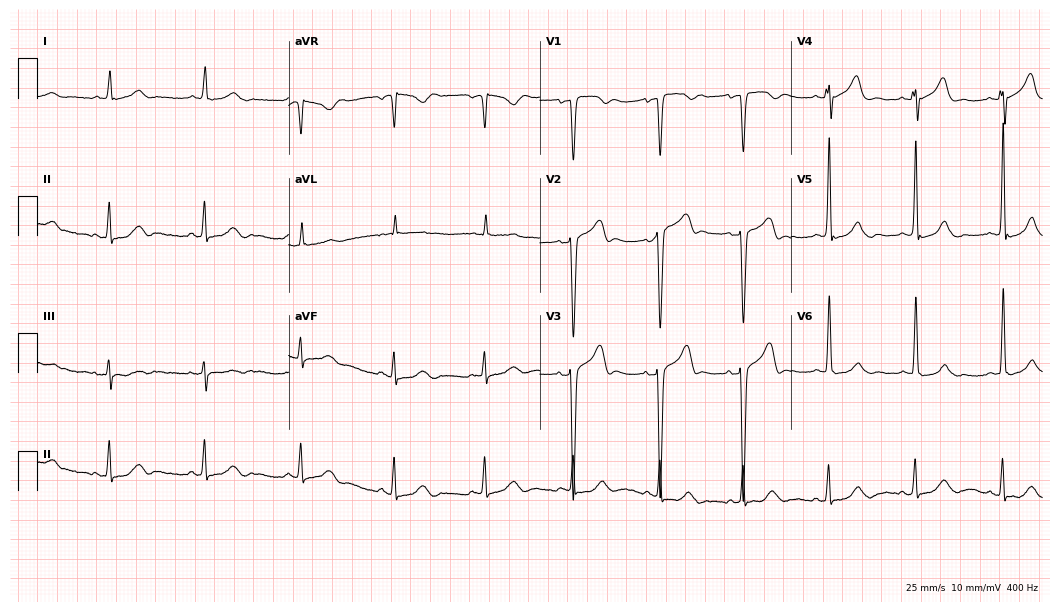
Resting 12-lead electrocardiogram. Patient: a male, 63 years old. Read as a normal ECG.